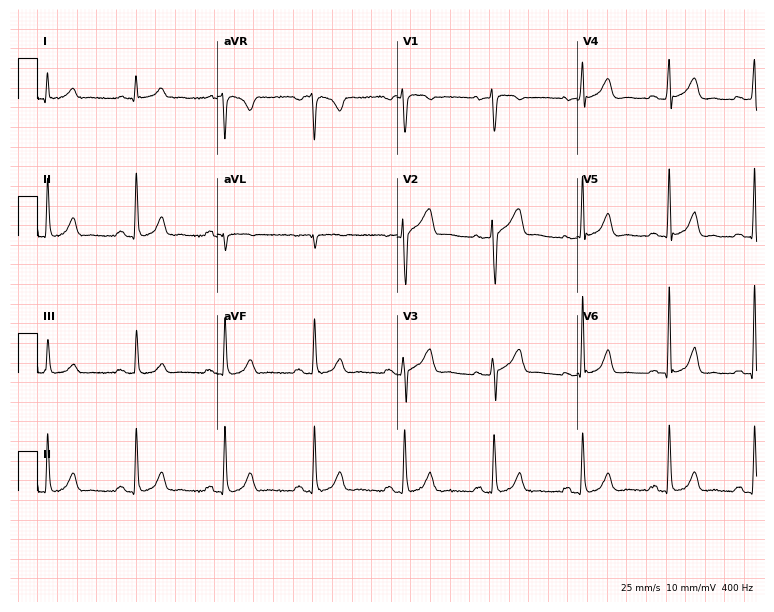
ECG — a 52-year-old male. Labelled as a normal ECG.